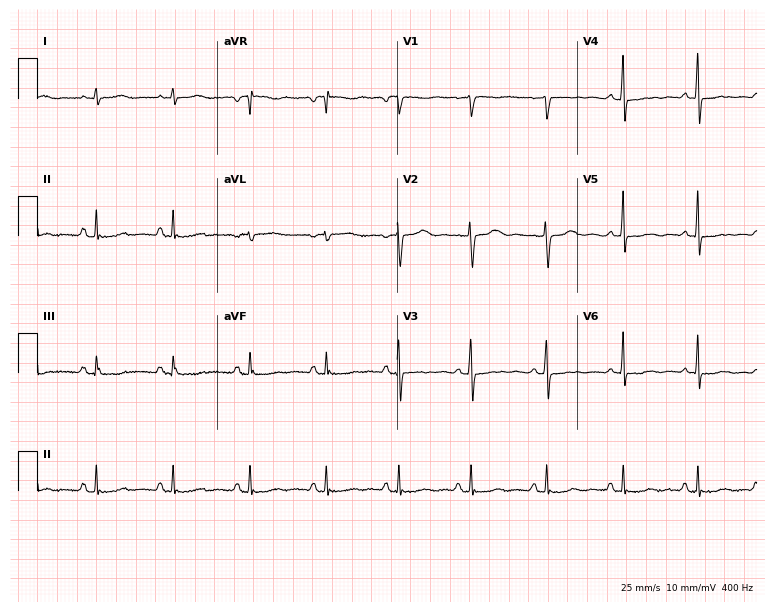
12-lead ECG from a 45-year-old female patient. No first-degree AV block, right bundle branch block, left bundle branch block, sinus bradycardia, atrial fibrillation or sinus tachycardia recorded for this tracing.